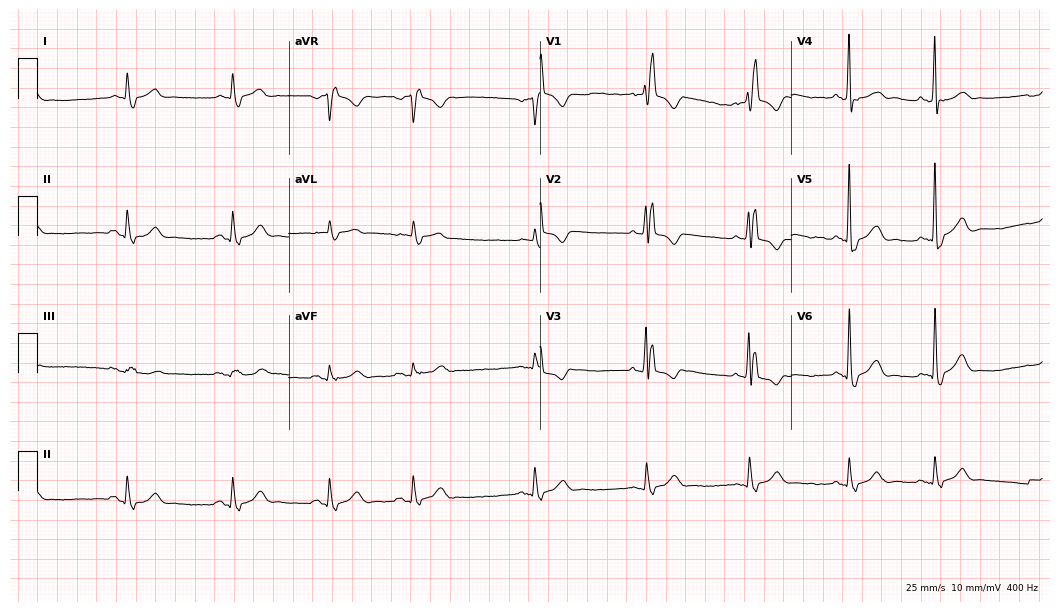
Standard 12-lead ECG recorded from an 84-year-old man. The tracing shows right bundle branch block.